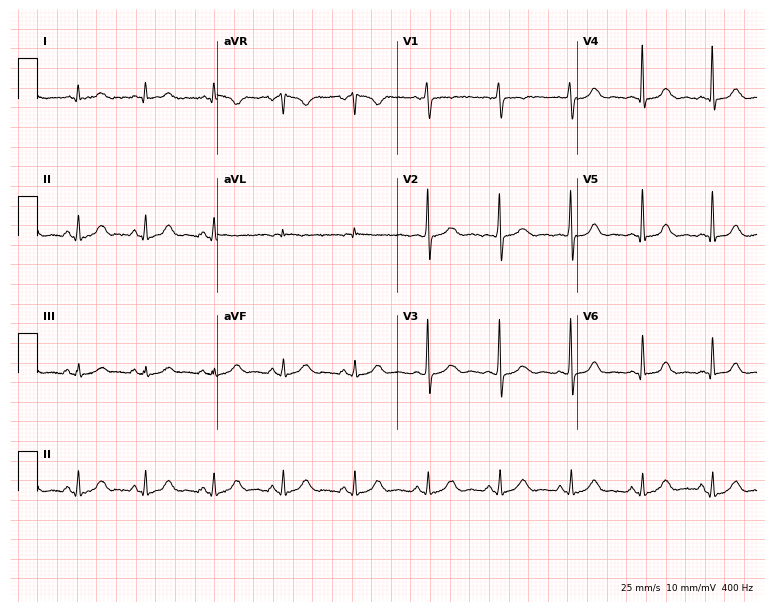
12-lead ECG from a 36-year-old male. Recorded interpretation: within normal limits.